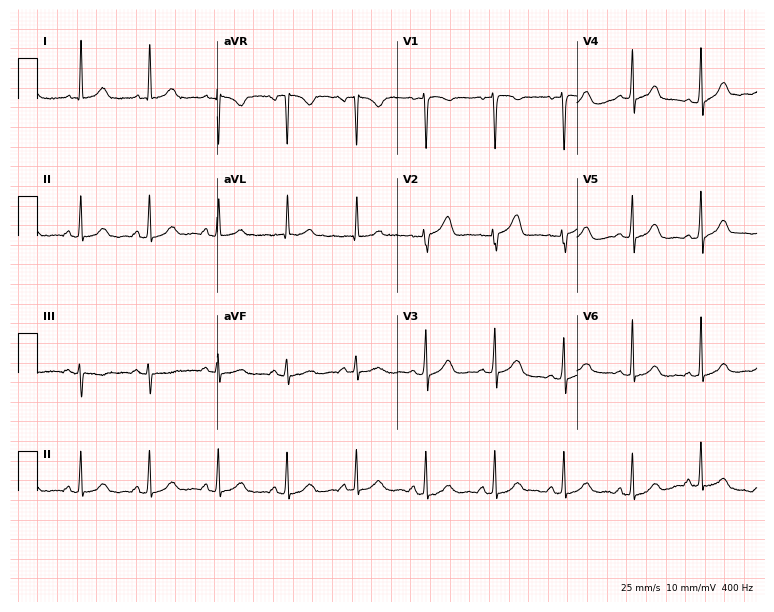
Resting 12-lead electrocardiogram. Patient: a 52-year-old female. None of these six findings is recorded: first-degree AV block, right bundle branch block, left bundle branch block, sinus bradycardia, atrial fibrillation, sinus tachycardia.